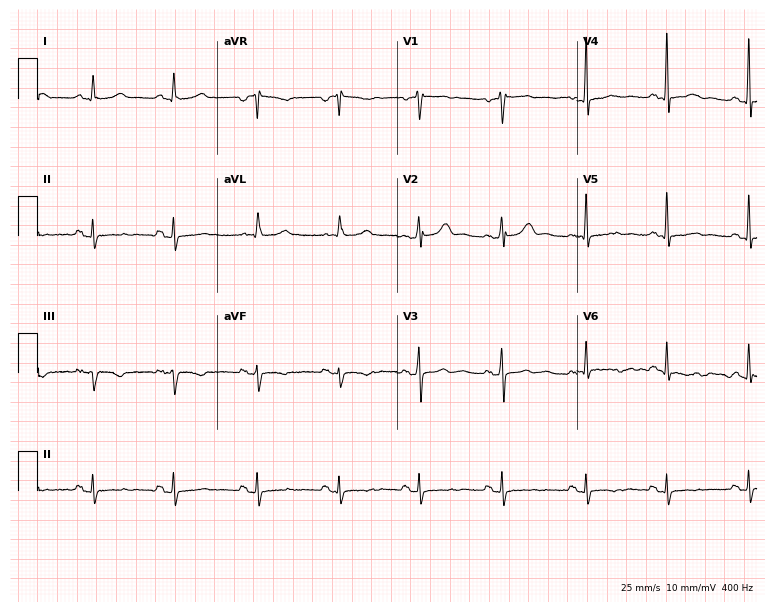
12-lead ECG from a woman, 44 years old. No first-degree AV block, right bundle branch block, left bundle branch block, sinus bradycardia, atrial fibrillation or sinus tachycardia recorded for this tracing.